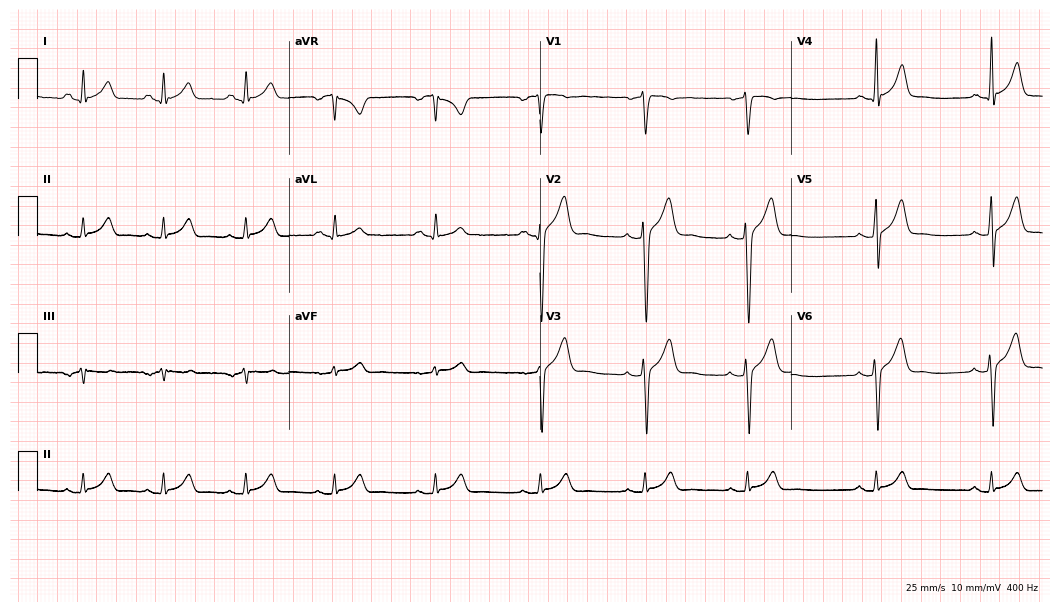
Standard 12-lead ECG recorded from a 40-year-old man. Read as a normal ECG.